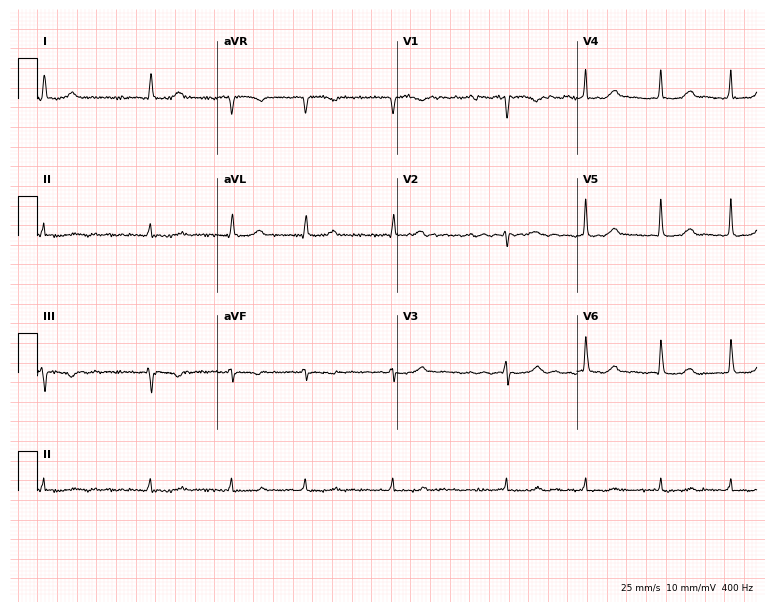
12-lead ECG (7.3-second recording at 400 Hz) from a 77-year-old female. Labelled as a normal ECG.